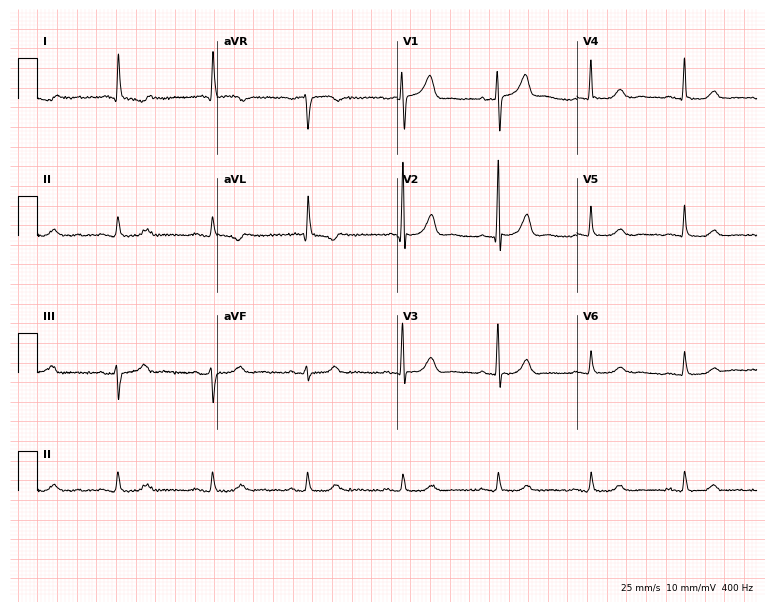
Electrocardiogram, a 71-year-old female. Of the six screened findings (first-degree AV block, right bundle branch block (RBBB), left bundle branch block (LBBB), sinus bradycardia, atrial fibrillation (AF), sinus tachycardia), none is recorded.